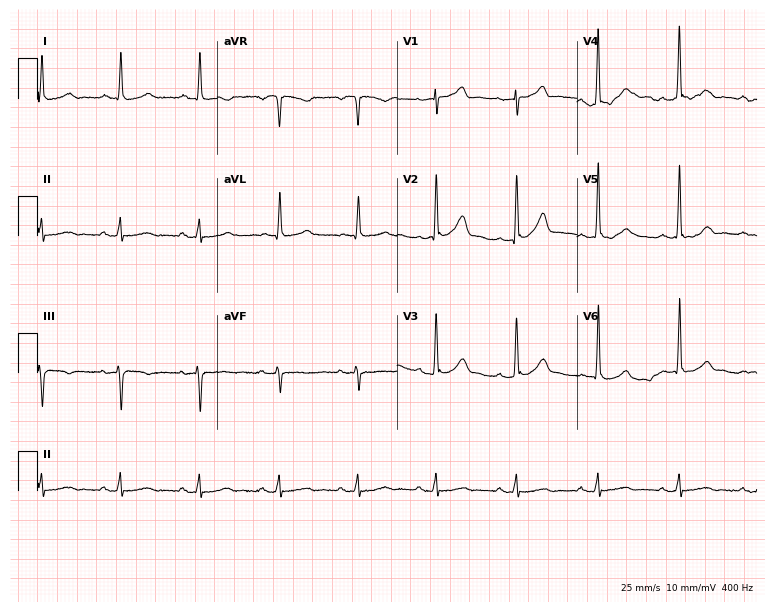
Resting 12-lead electrocardiogram (7.3-second recording at 400 Hz). Patient: a 72-year-old man. None of these six findings is recorded: first-degree AV block, right bundle branch block, left bundle branch block, sinus bradycardia, atrial fibrillation, sinus tachycardia.